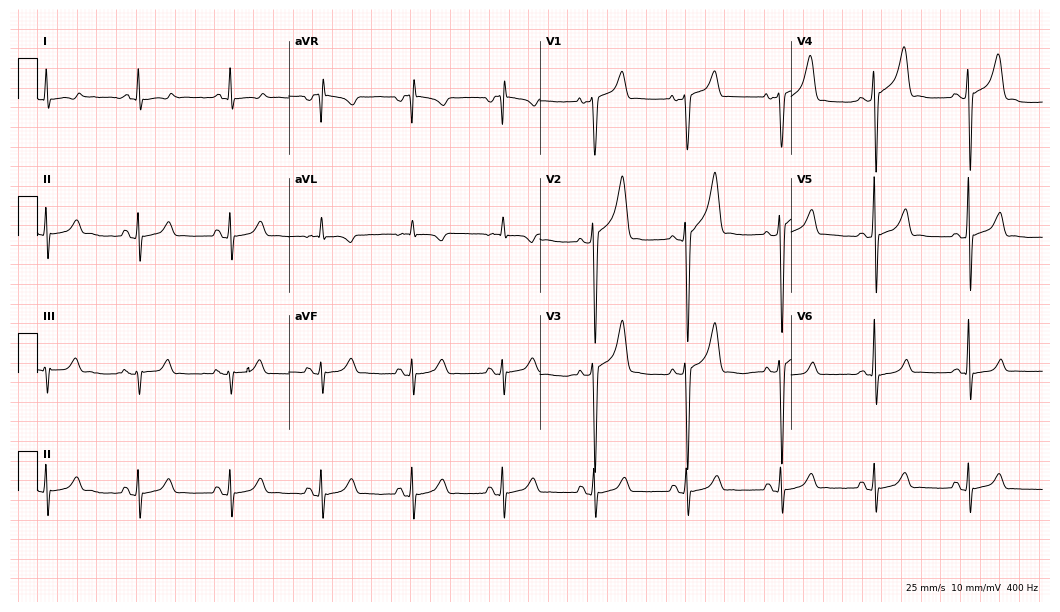
Standard 12-lead ECG recorded from a male patient, 54 years old (10.2-second recording at 400 Hz). None of these six findings is recorded: first-degree AV block, right bundle branch block, left bundle branch block, sinus bradycardia, atrial fibrillation, sinus tachycardia.